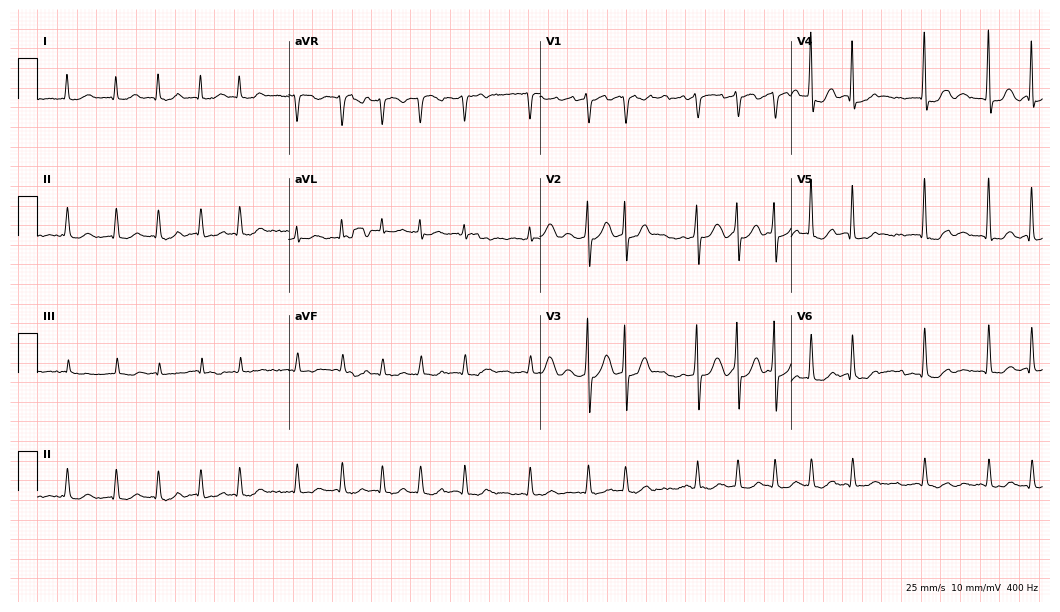
12-lead ECG from a female, 69 years old. Shows atrial fibrillation (AF).